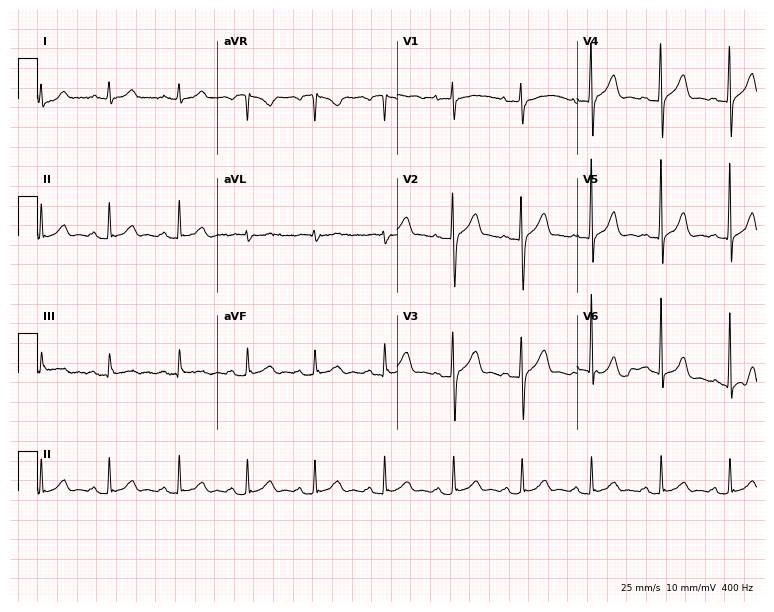
Electrocardiogram, a woman, 71 years old. Overall reading on record: normal ECG.